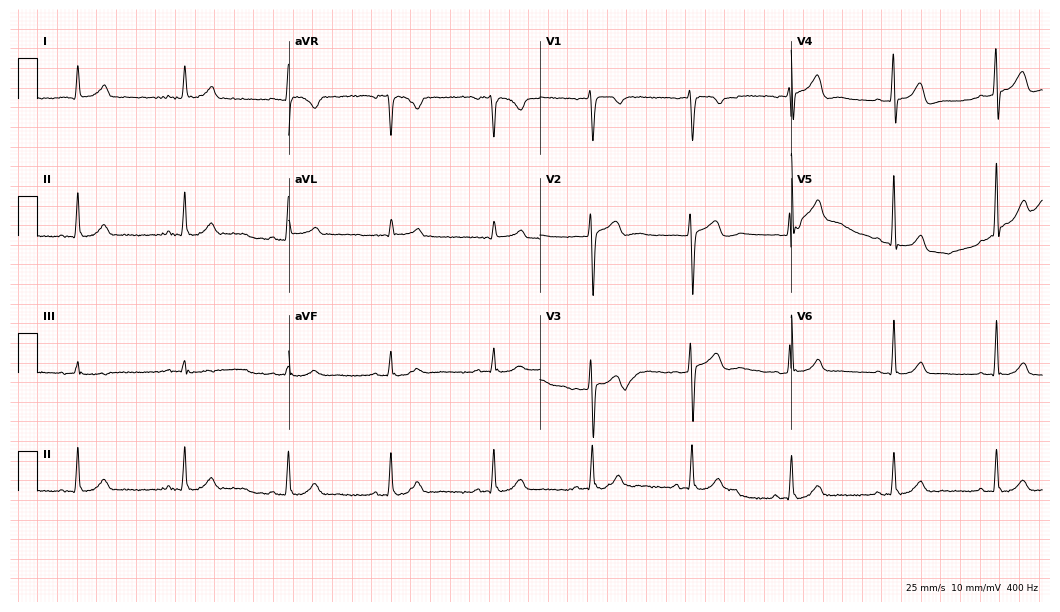
Electrocardiogram (10.2-second recording at 400 Hz), a 67-year-old man. Overall reading on record: normal ECG.